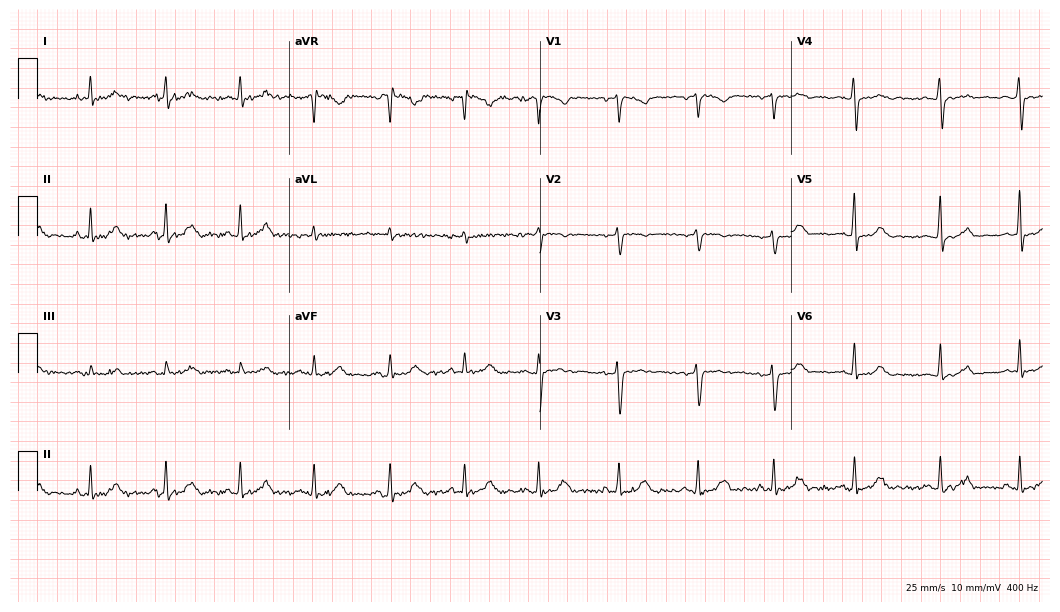
12-lead ECG (10.2-second recording at 400 Hz) from a female, 37 years old. Labelled as a normal ECG.